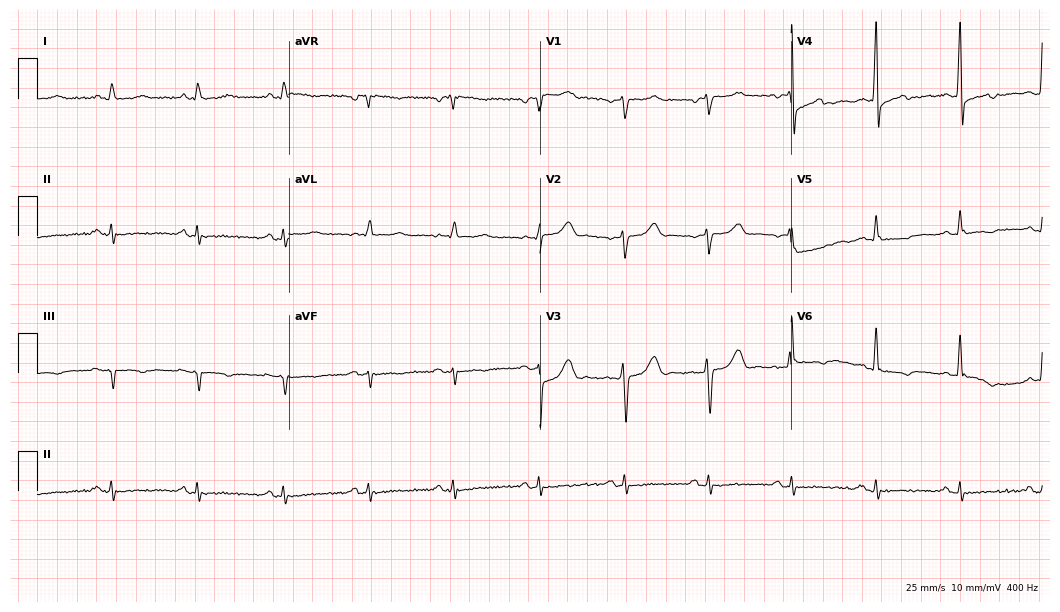
ECG — a female, 44 years old. Labelled as a normal ECG.